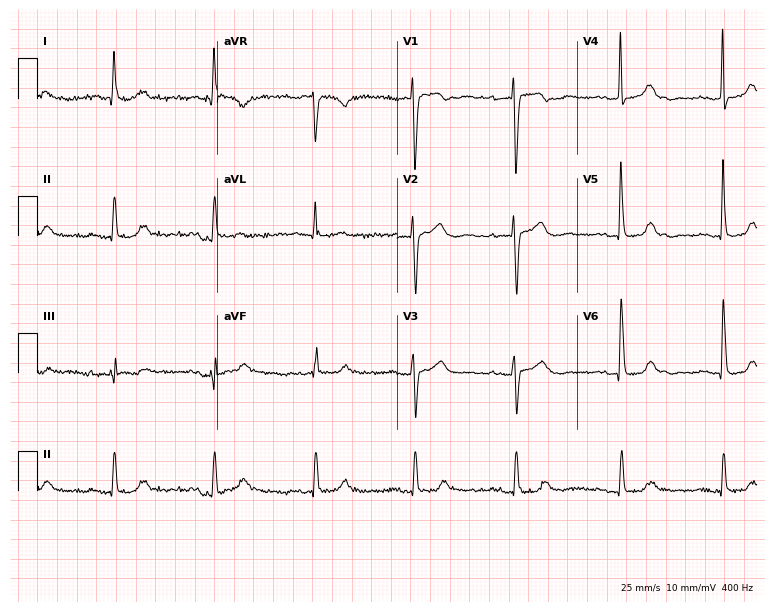
12-lead ECG (7.3-second recording at 400 Hz) from a female patient, 78 years old. Screened for six findings — first-degree AV block, right bundle branch block, left bundle branch block, sinus bradycardia, atrial fibrillation, sinus tachycardia — none is recorded. Only these six findings were labelled.